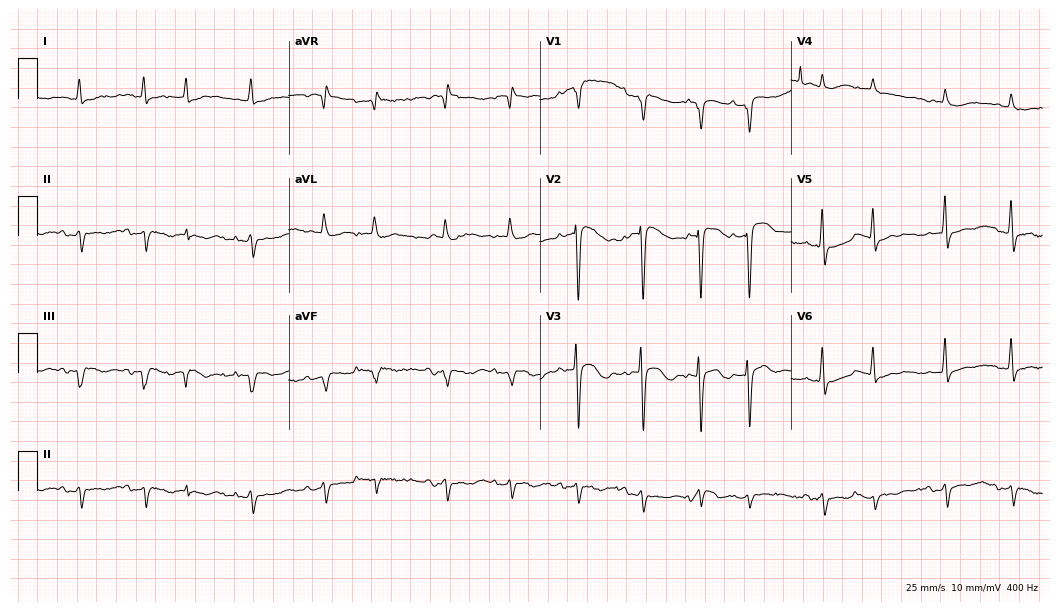
Resting 12-lead electrocardiogram (10.2-second recording at 400 Hz). Patient: an 83-year-old female. None of these six findings is recorded: first-degree AV block, right bundle branch block, left bundle branch block, sinus bradycardia, atrial fibrillation, sinus tachycardia.